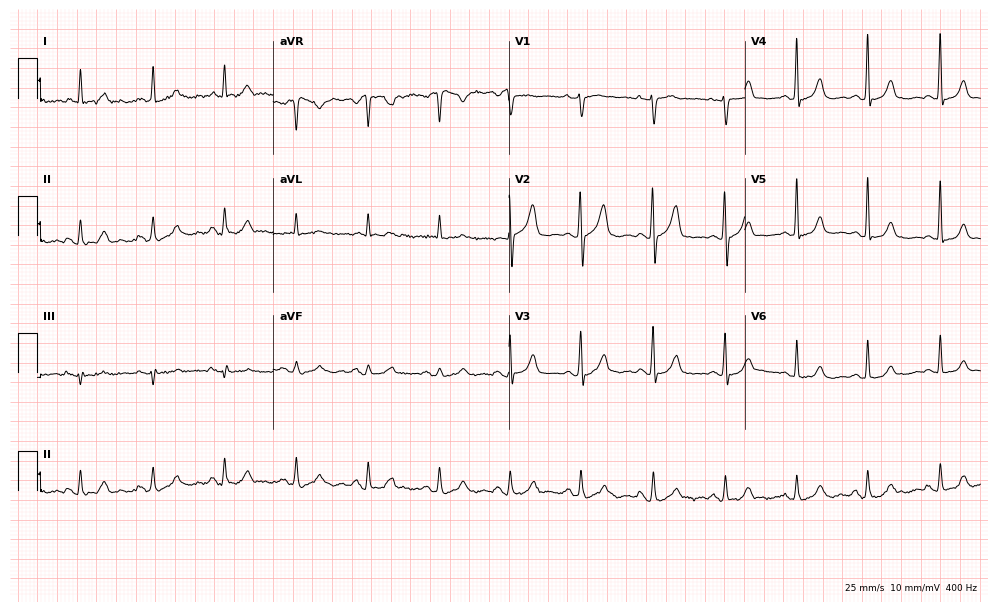
Resting 12-lead electrocardiogram. Patient: an 80-year-old female. Read as a normal ECG.